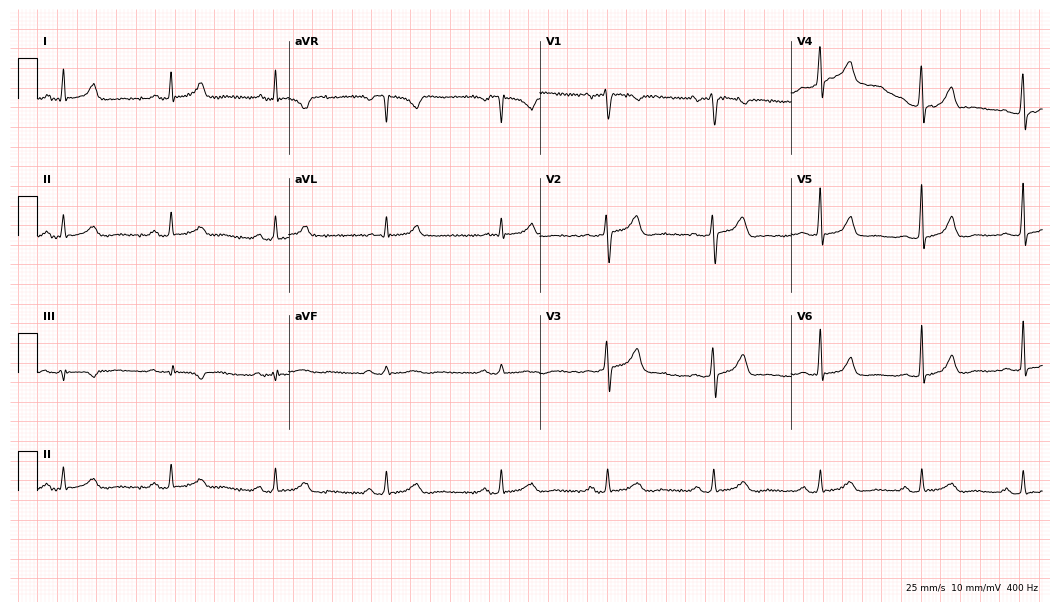
Resting 12-lead electrocardiogram. Patient: a 57-year-old man. Read as a normal ECG.